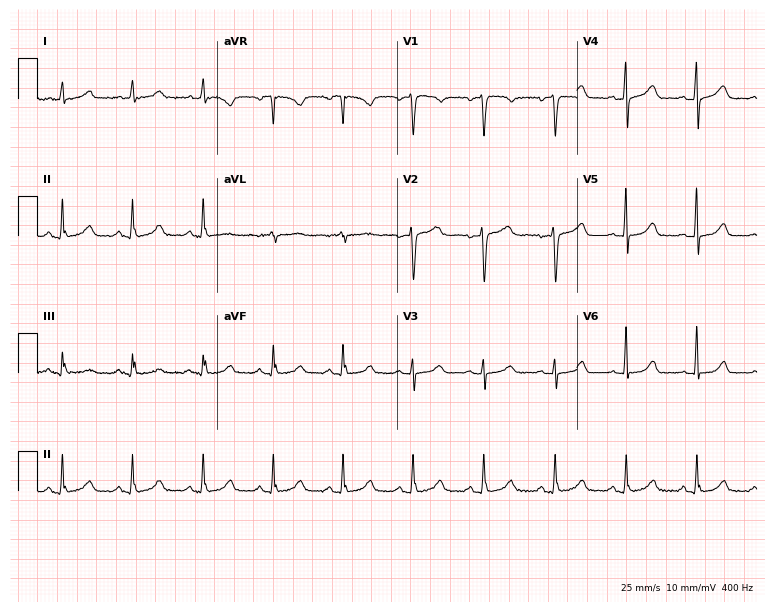
Resting 12-lead electrocardiogram (7.3-second recording at 400 Hz). Patient: a female, 47 years old. None of these six findings is recorded: first-degree AV block, right bundle branch block, left bundle branch block, sinus bradycardia, atrial fibrillation, sinus tachycardia.